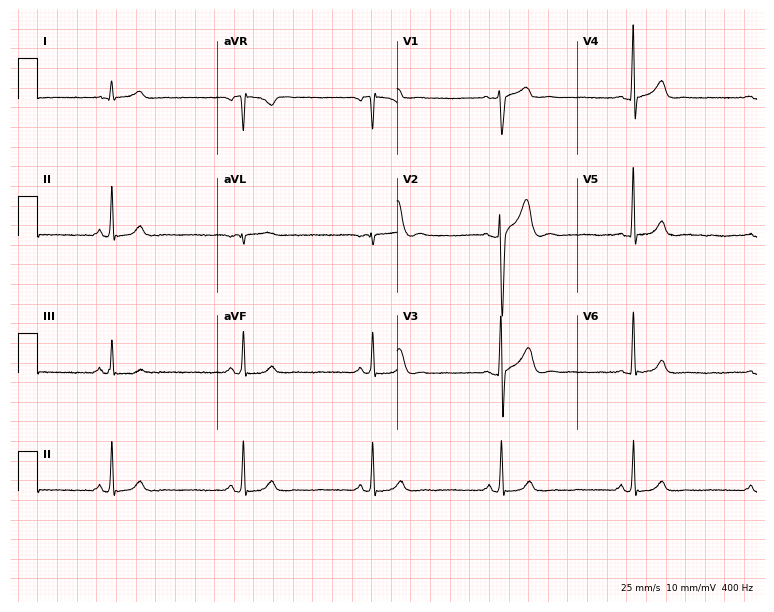
Electrocardiogram, a male patient, 25 years old. Interpretation includes sinus bradycardia (a sinus rate of 50 beats per minute or less).